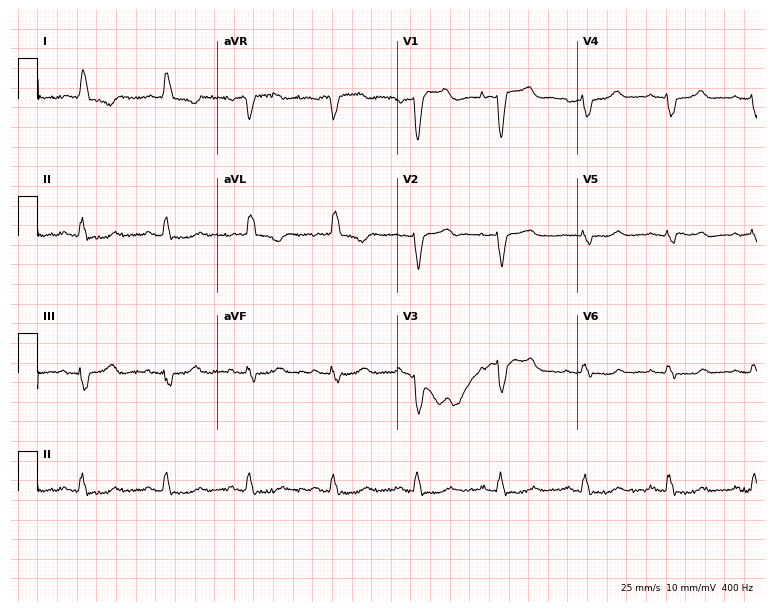
Resting 12-lead electrocardiogram. Patient: a 67-year-old woman. The tracing shows left bundle branch block.